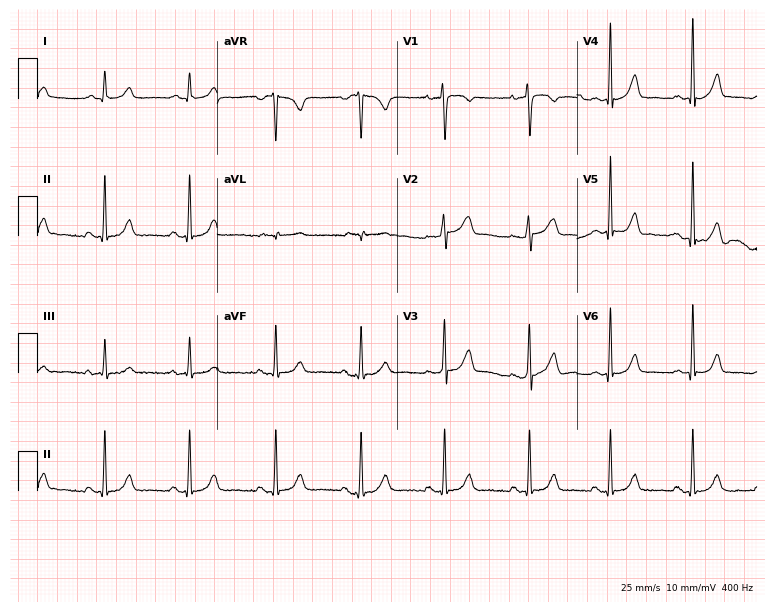
Electrocardiogram, a woman, 37 years old. Overall reading on record: normal ECG.